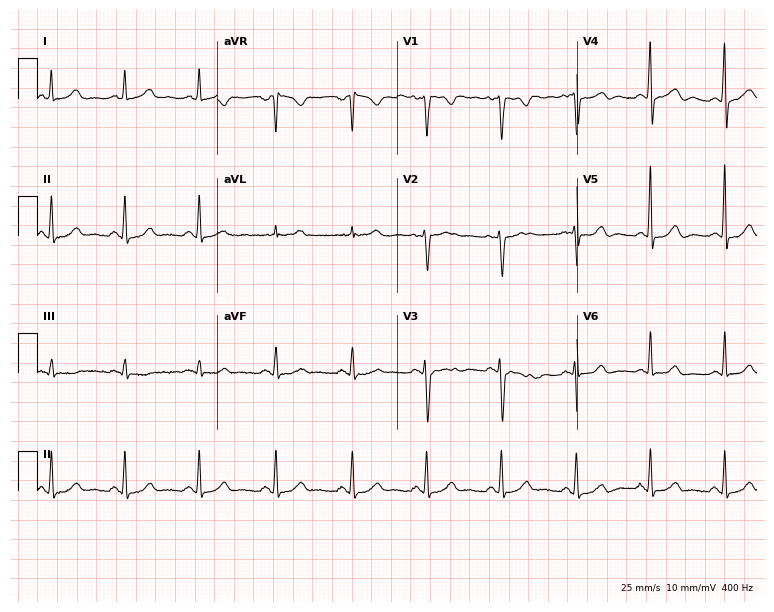
Electrocardiogram, a woman, 42 years old. Of the six screened findings (first-degree AV block, right bundle branch block (RBBB), left bundle branch block (LBBB), sinus bradycardia, atrial fibrillation (AF), sinus tachycardia), none is recorded. Findings outside these six are not listed.